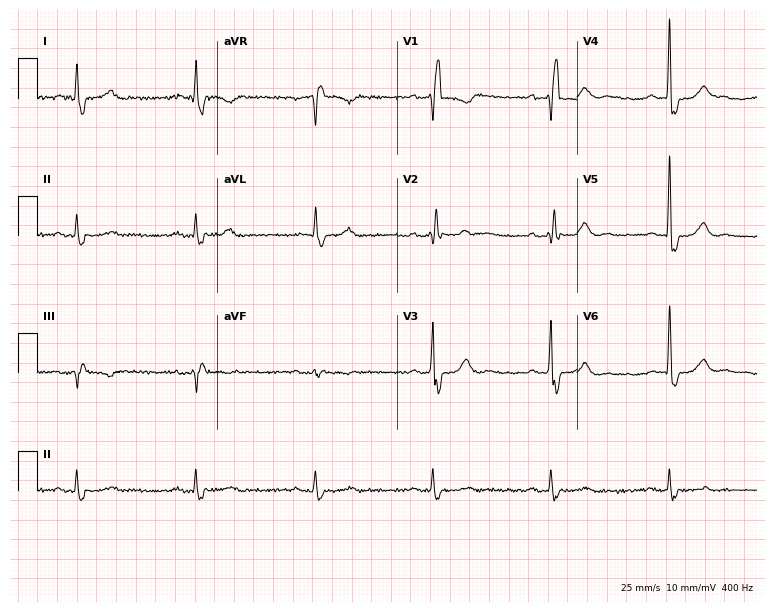
Resting 12-lead electrocardiogram. Patient: a male, 77 years old. The tracing shows right bundle branch block (RBBB), sinus bradycardia (a sinus rate of 50 beats per minute or less).